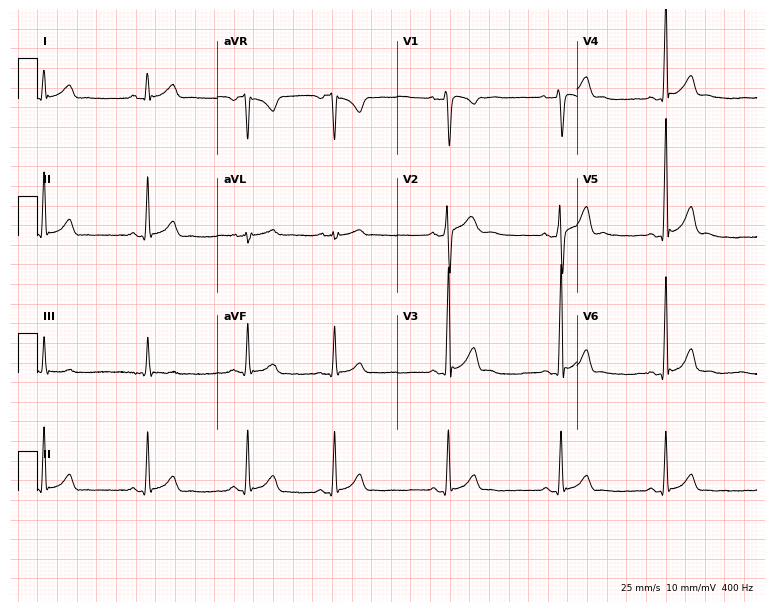
Standard 12-lead ECG recorded from a 23-year-old male patient (7.3-second recording at 400 Hz). Read as a normal ECG.